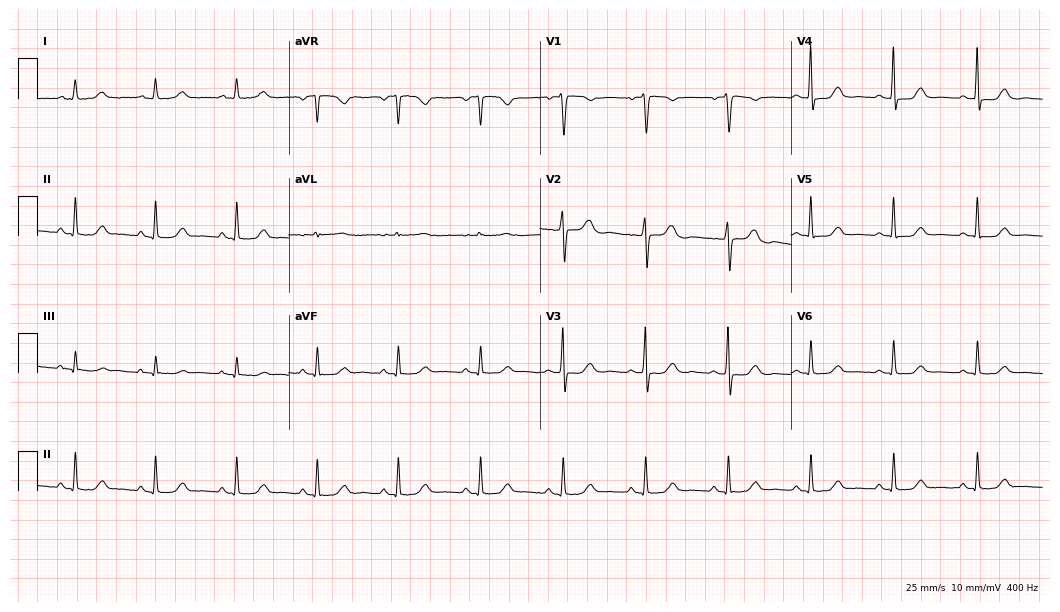
Standard 12-lead ECG recorded from a female, 69 years old. Read as a normal ECG.